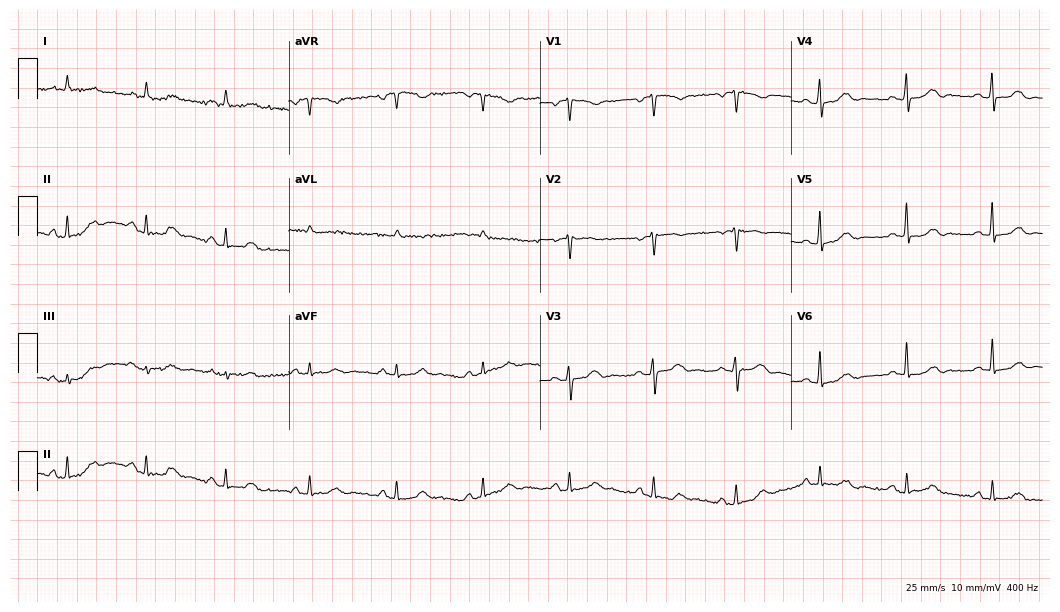
ECG — a female, 78 years old. Labelled as a normal ECG.